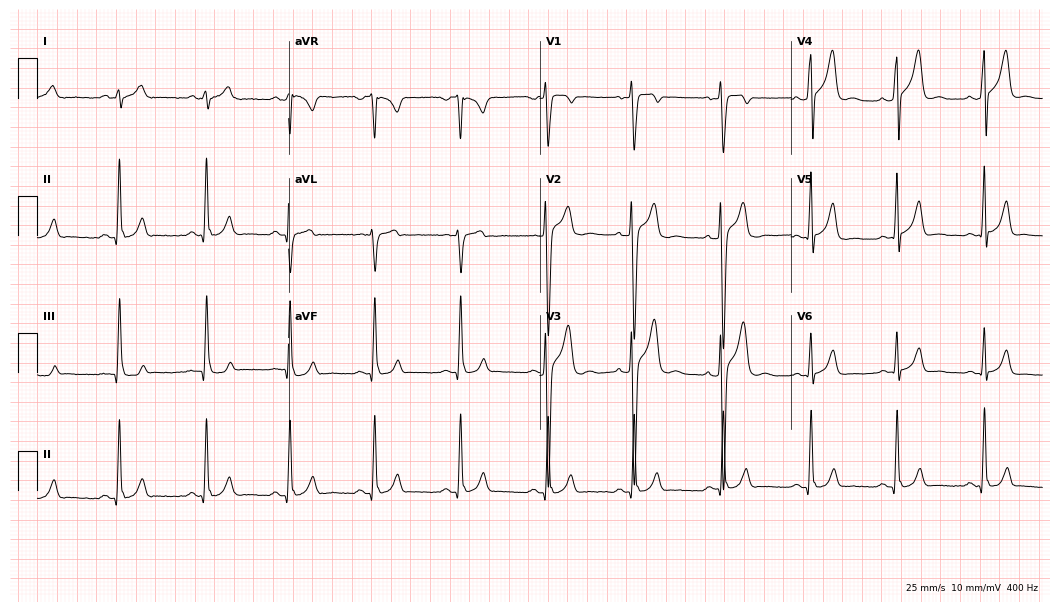
Resting 12-lead electrocardiogram (10.2-second recording at 400 Hz). Patient: a man, 23 years old. None of these six findings is recorded: first-degree AV block, right bundle branch block (RBBB), left bundle branch block (LBBB), sinus bradycardia, atrial fibrillation (AF), sinus tachycardia.